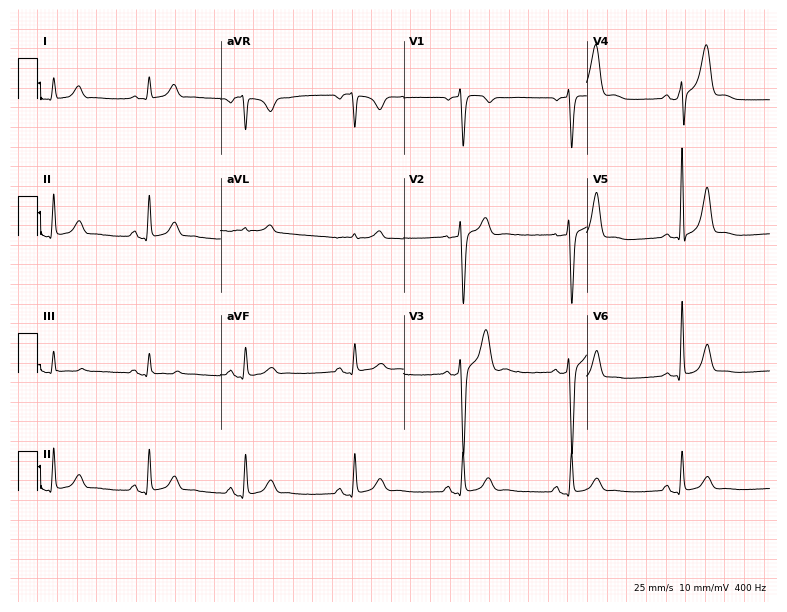
12-lead ECG from a man, 45 years old. No first-degree AV block, right bundle branch block, left bundle branch block, sinus bradycardia, atrial fibrillation or sinus tachycardia recorded for this tracing.